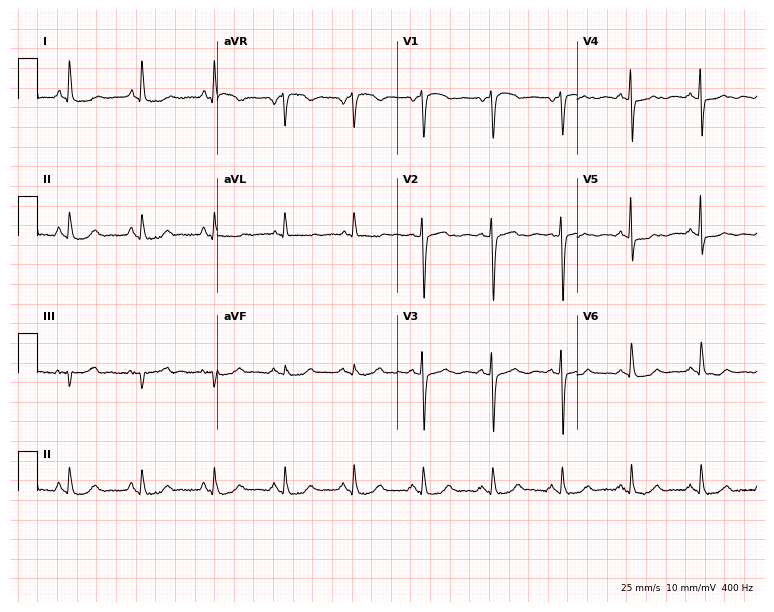
Electrocardiogram, a female, 65 years old. Of the six screened findings (first-degree AV block, right bundle branch block (RBBB), left bundle branch block (LBBB), sinus bradycardia, atrial fibrillation (AF), sinus tachycardia), none is recorded. Other findings, if any, are not listed.